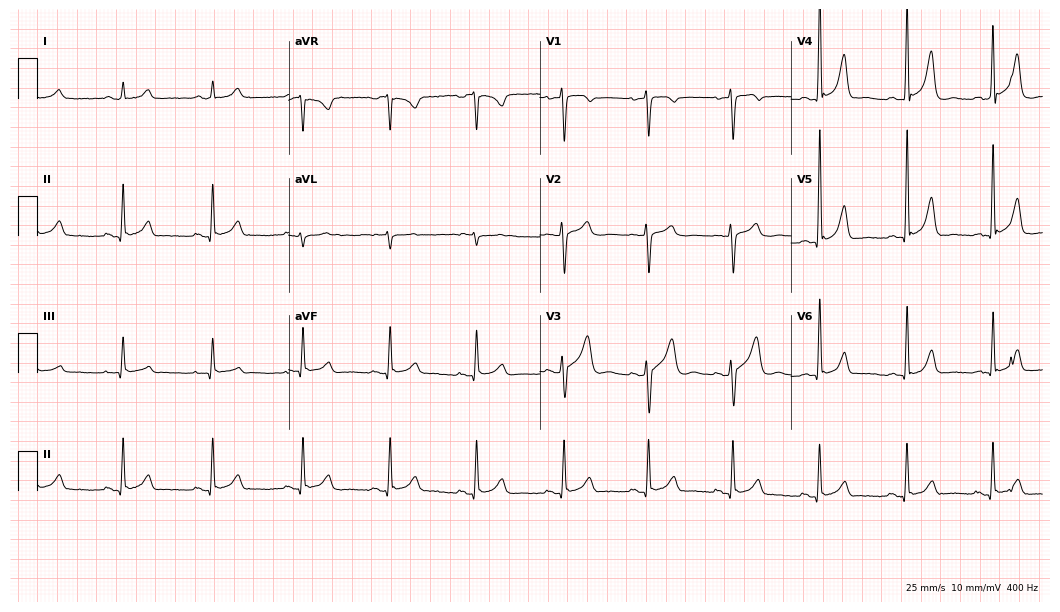
12-lead ECG from a 43-year-old male patient. Recorded interpretation: within normal limits.